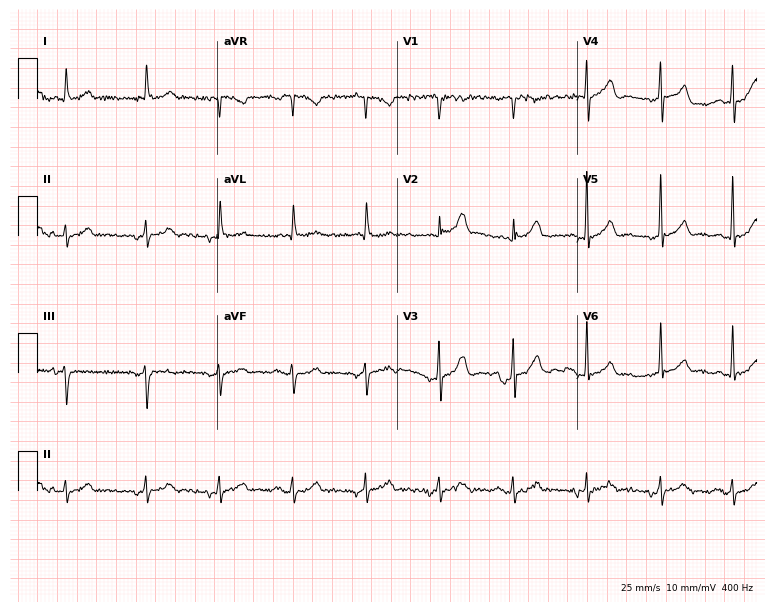
Electrocardiogram (7.3-second recording at 400 Hz), a 71-year-old male. Overall reading on record: normal ECG.